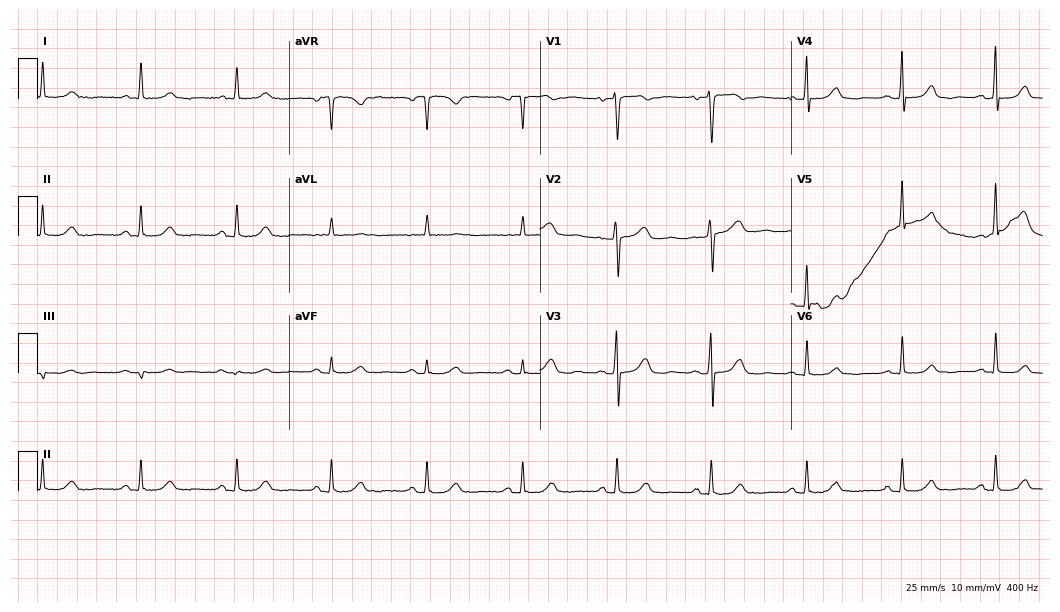
Electrocardiogram, a female patient, 66 years old. Overall reading on record: normal ECG.